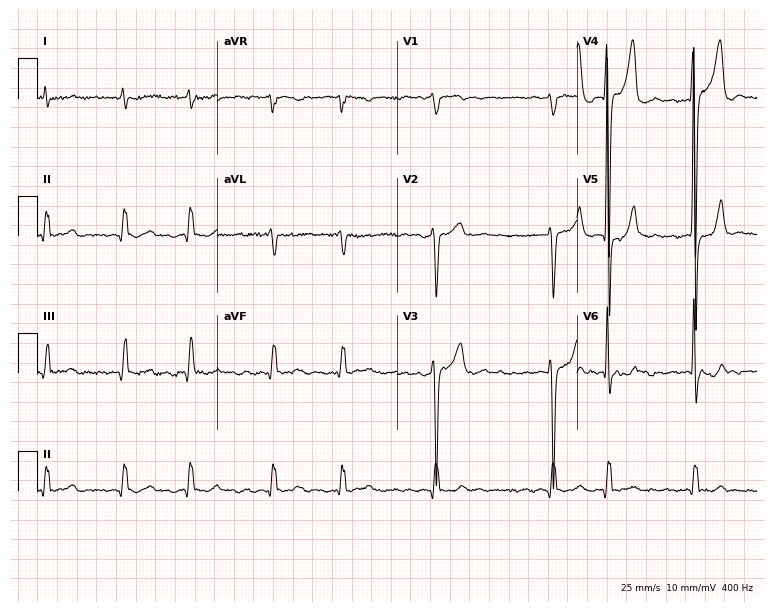
12-lead ECG from a male patient, 77 years old. Shows atrial fibrillation (AF).